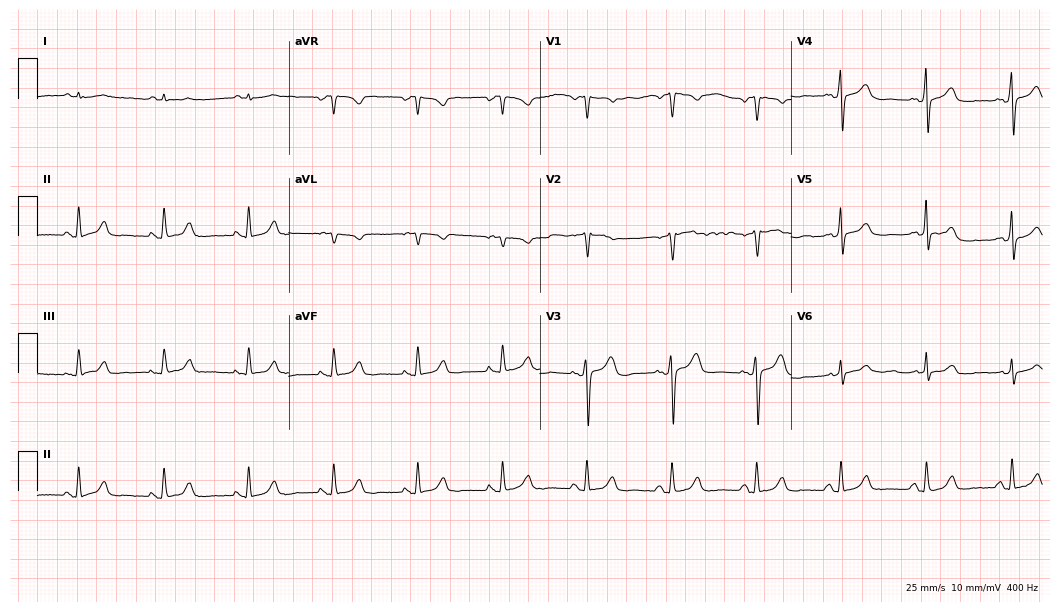
ECG — a 66-year-old male patient. Labelled as a normal ECG.